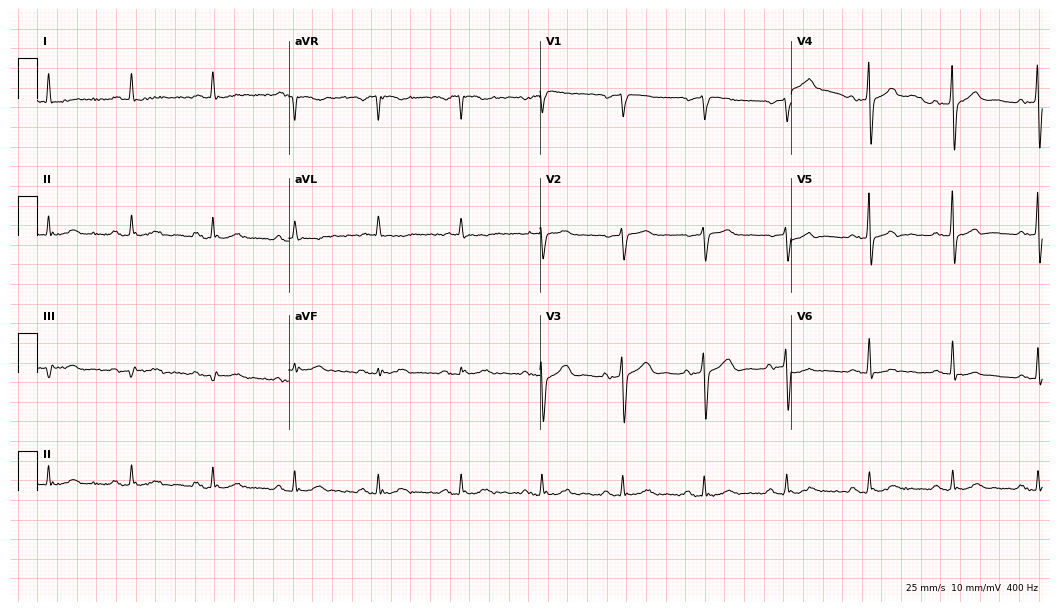
Electrocardiogram, a 76-year-old man. Overall reading on record: normal ECG.